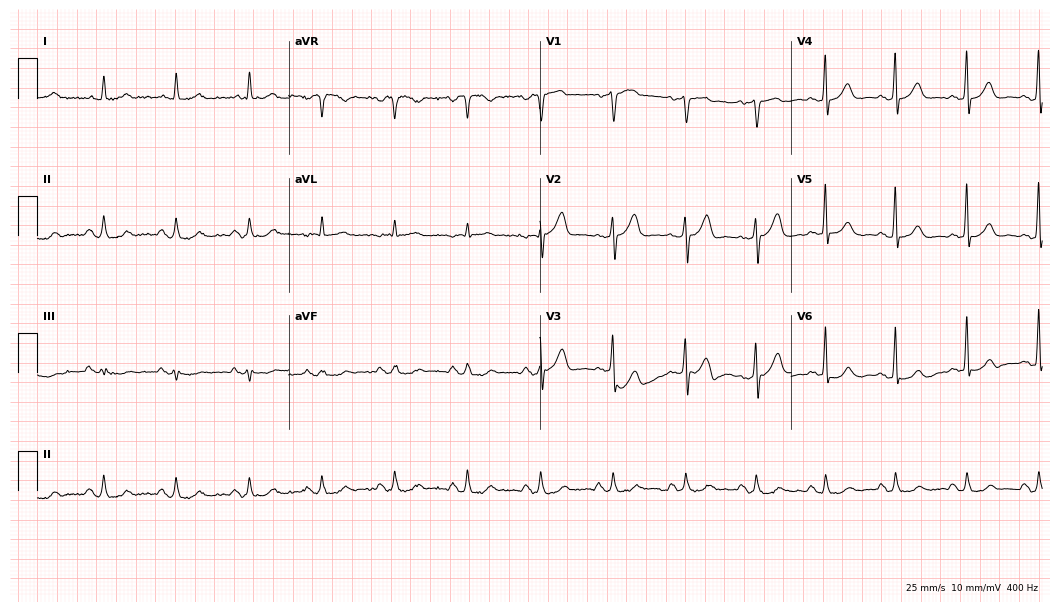
12-lead ECG (10.2-second recording at 400 Hz) from a male patient, 87 years old. Labelled as a normal ECG.